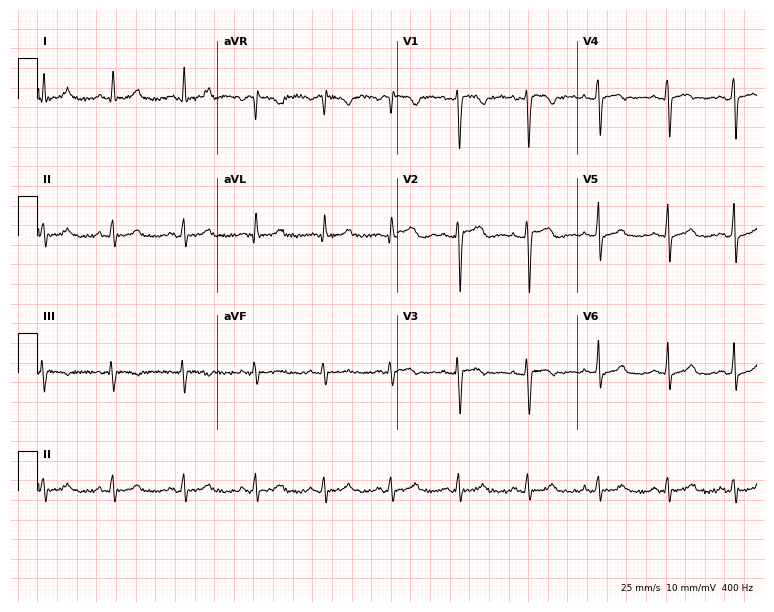
ECG — a woman, 19 years old. Screened for six findings — first-degree AV block, right bundle branch block, left bundle branch block, sinus bradycardia, atrial fibrillation, sinus tachycardia — none is recorded. Only these six findings were labelled.